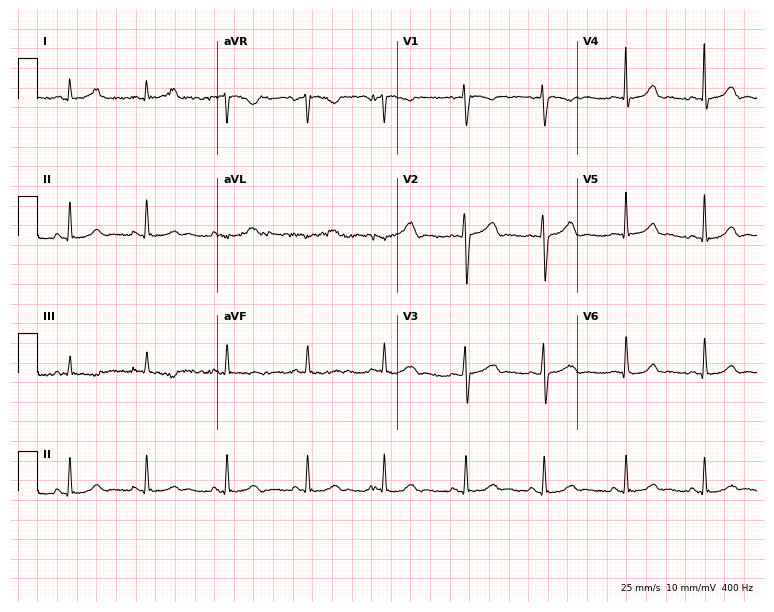
Electrocardiogram, a female patient, 34 years old. Overall reading on record: normal ECG.